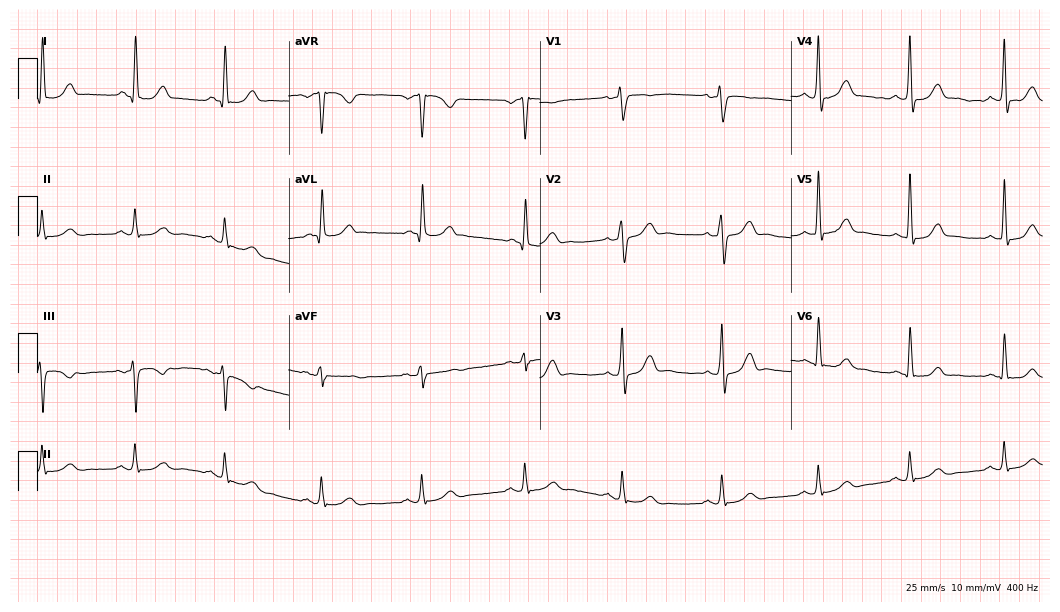
12-lead ECG from a 56-year-old male (10.2-second recording at 400 Hz). No first-degree AV block, right bundle branch block, left bundle branch block, sinus bradycardia, atrial fibrillation or sinus tachycardia recorded for this tracing.